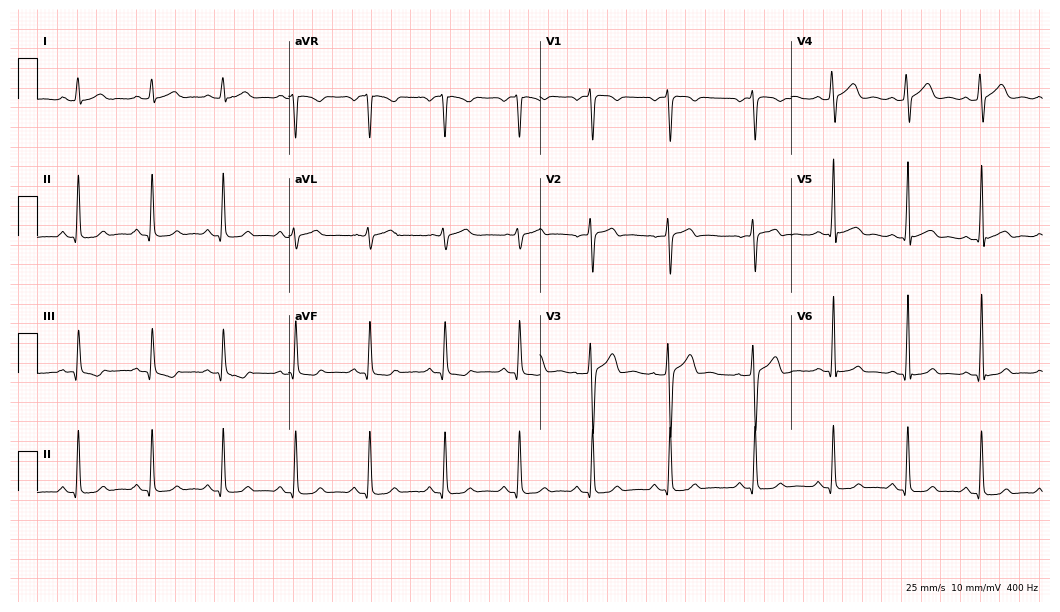
ECG — a man, 27 years old. Labelled as a normal ECG.